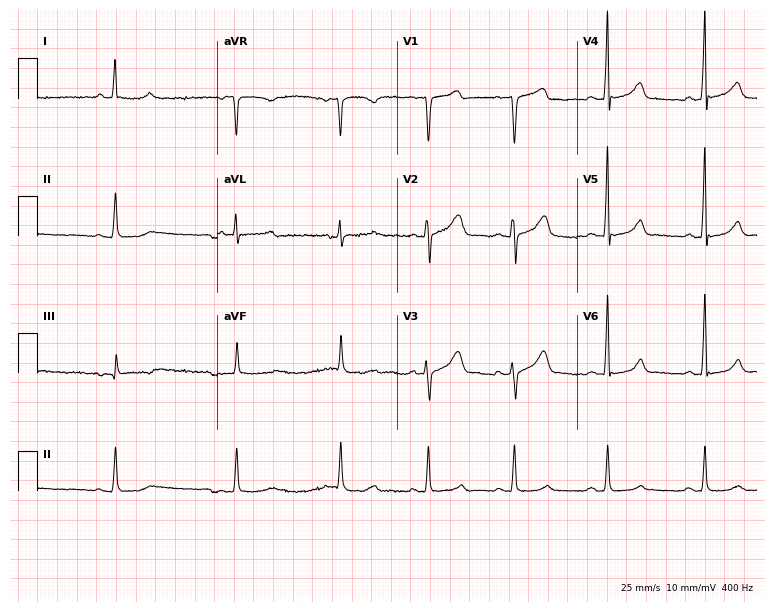
12-lead ECG (7.3-second recording at 400 Hz) from a male patient, 38 years old. Labelled as a normal ECG.